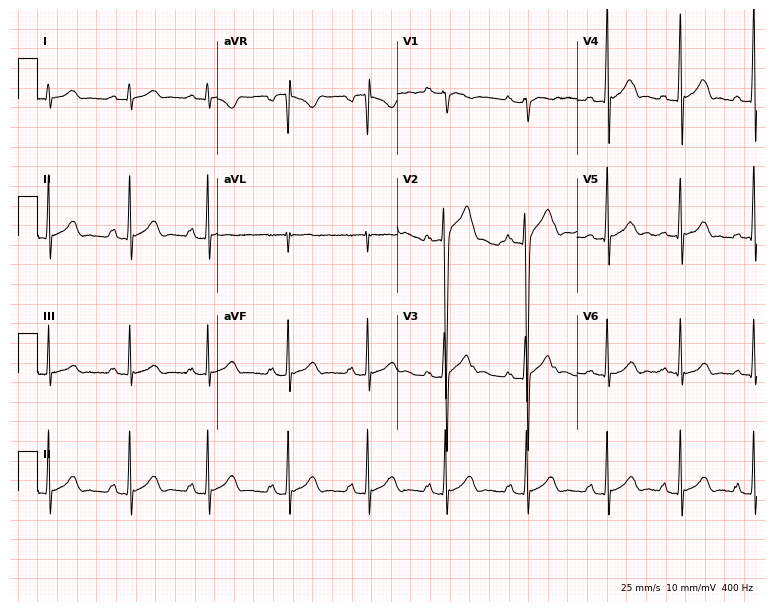
12-lead ECG (7.3-second recording at 400 Hz) from an 18-year-old man. Labelled as a normal ECG.